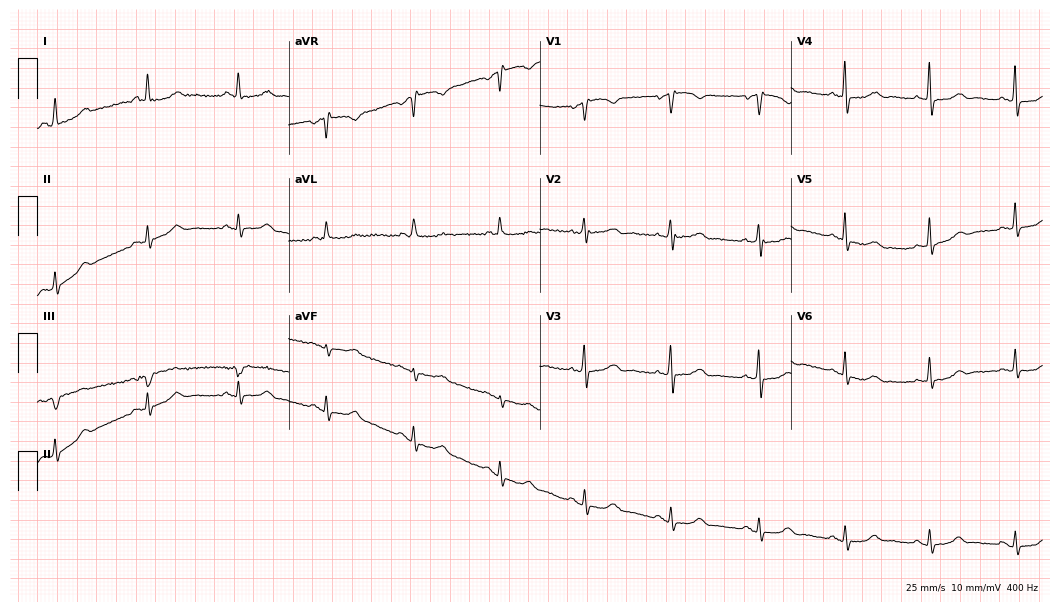
Resting 12-lead electrocardiogram (10.2-second recording at 400 Hz). Patient: a 79-year-old female. Read as a normal ECG.